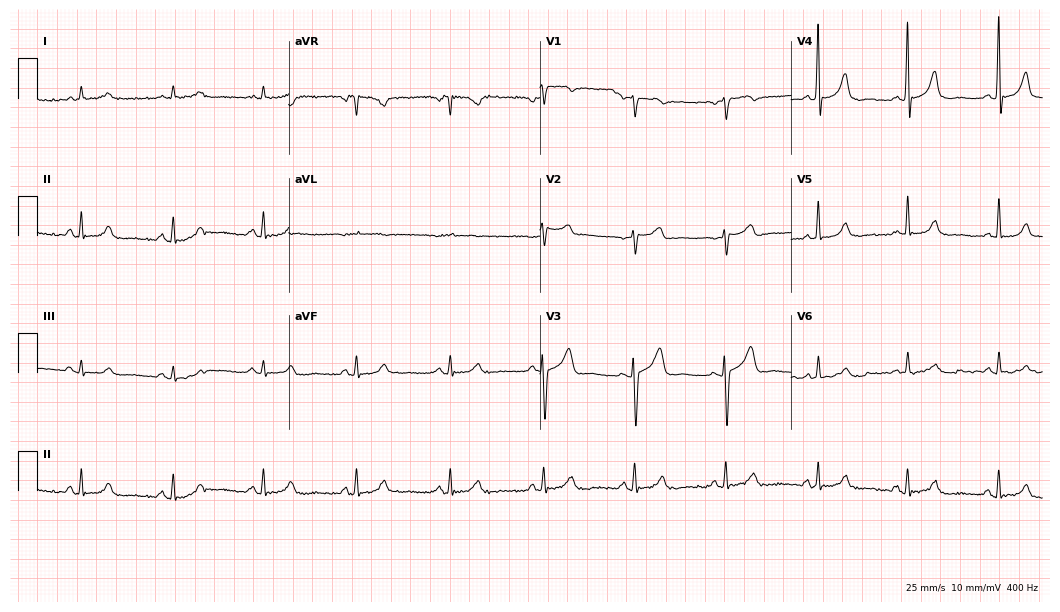
Resting 12-lead electrocardiogram (10.2-second recording at 400 Hz). Patient: a 50-year-old female. Read as a normal ECG.